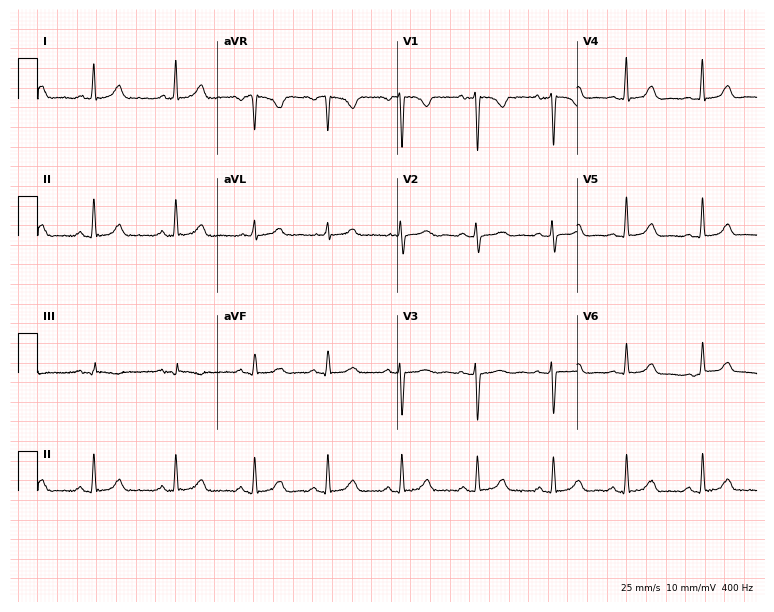
Electrocardiogram, a female patient, 39 years old. Overall reading on record: normal ECG.